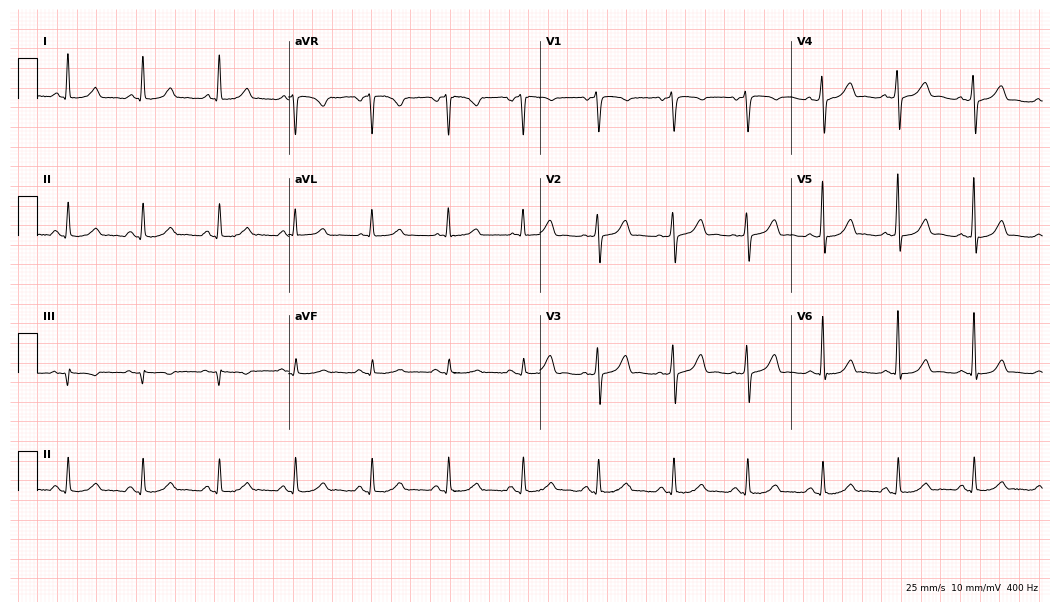
Resting 12-lead electrocardiogram (10.2-second recording at 400 Hz). Patient: a 48-year-old female. Read as a normal ECG.